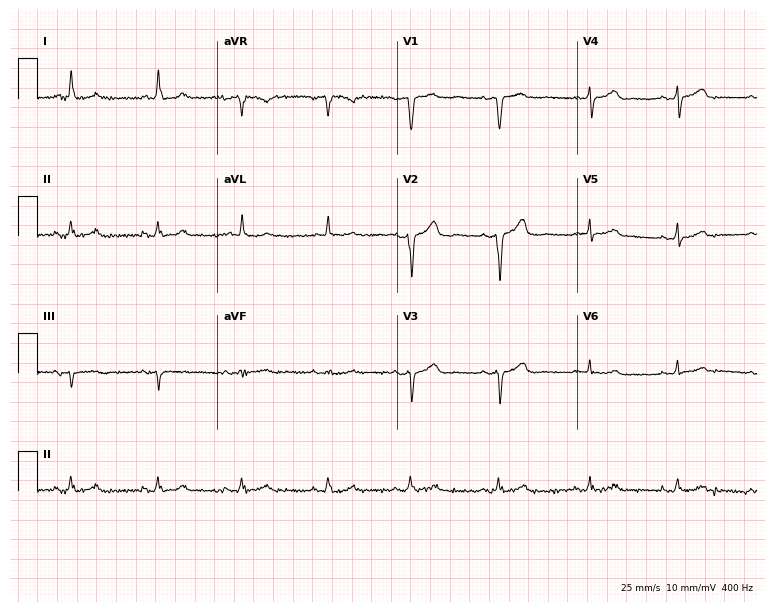
ECG — a woman, 71 years old. Labelled as a normal ECG.